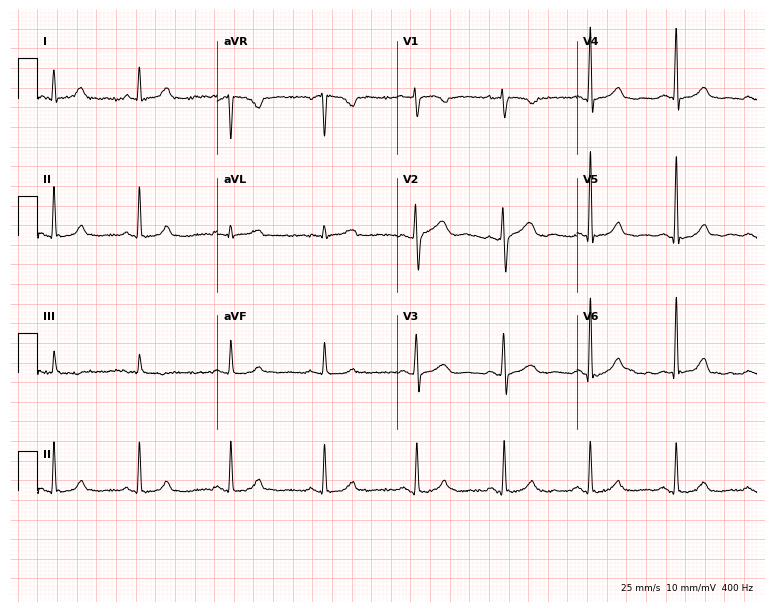
ECG — a 55-year-old female. Screened for six findings — first-degree AV block, right bundle branch block (RBBB), left bundle branch block (LBBB), sinus bradycardia, atrial fibrillation (AF), sinus tachycardia — none is recorded.